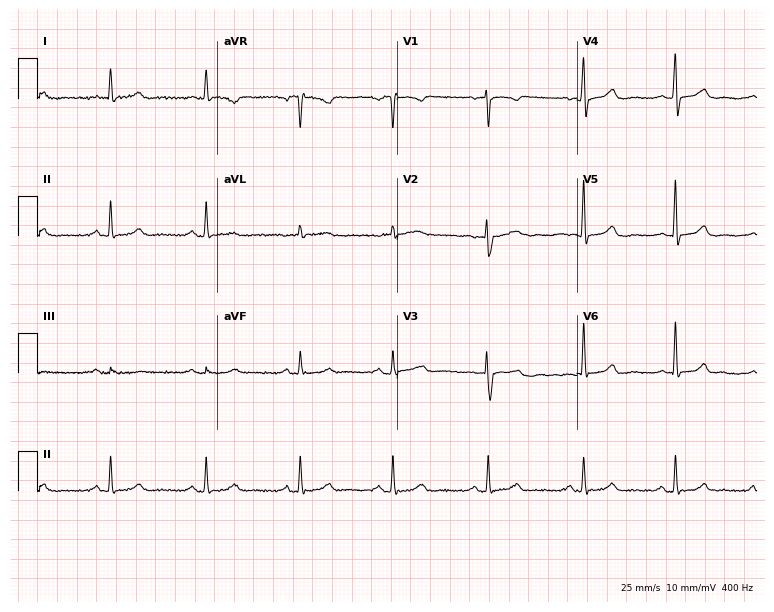
Standard 12-lead ECG recorded from a 57-year-old female patient (7.3-second recording at 400 Hz). Read as a normal ECG.